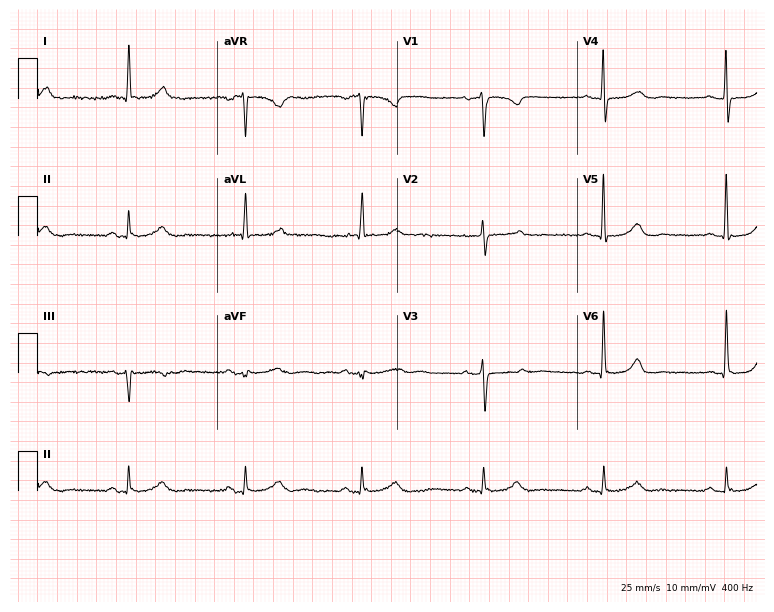
ECG — a 62-year-old female patient. Findings include sinus bradycardia (a sinus rate of 50 beats per minute or less).